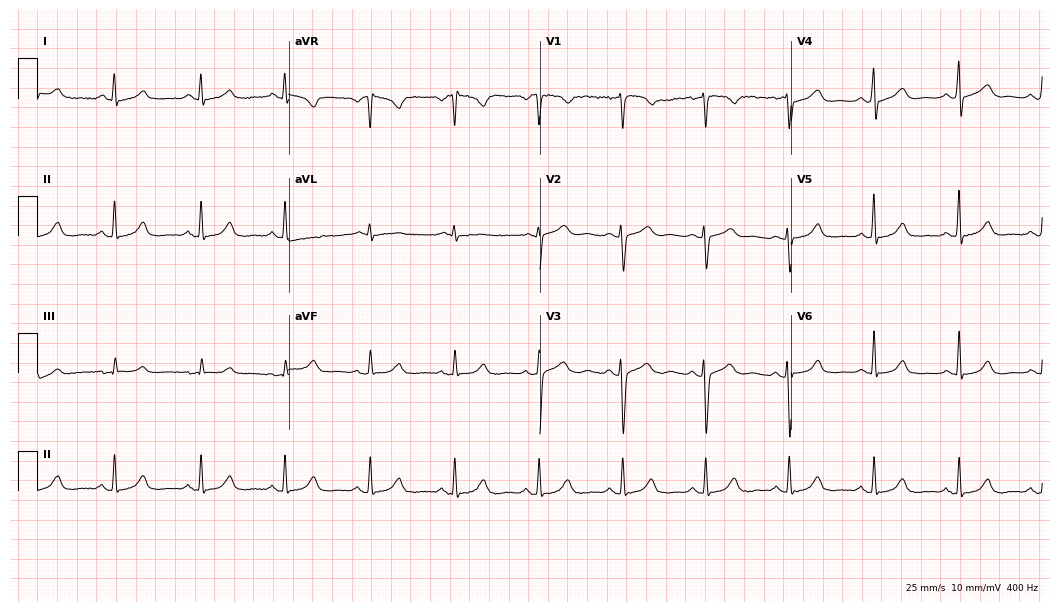
12-lead ECG from a female patient, 44 years old. Labelled as a normal ECG.